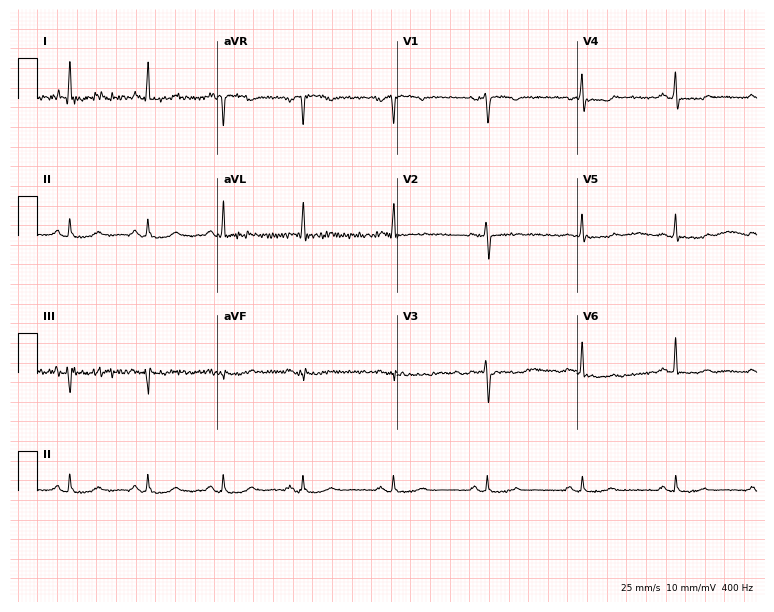
12-lead ECG from a 53-year-old woman. Screened for six findings — first-degree AV block, right bundle branch block, left bundle branch block, sinus bradycardia, atrial fibrillation, sinus tachycardia — none is recorded.